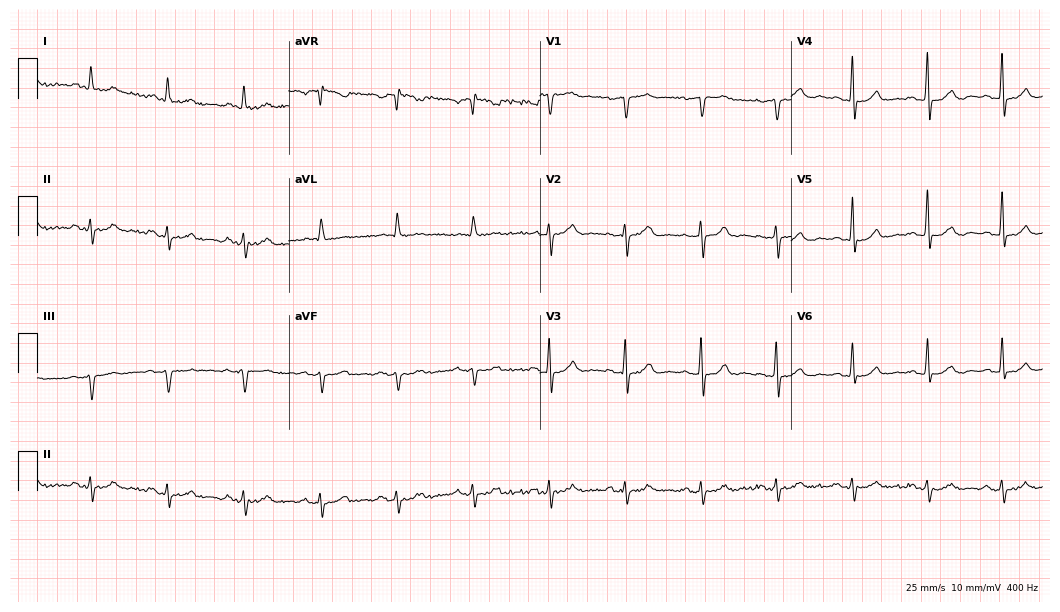
12-lead ECG from an 81-year-old man. No first-degree AV block, right bundle branch block, left bundle branch block, sinus bradycardia, atrial fibrillation or sinus tachycardia recorded for this tracing.